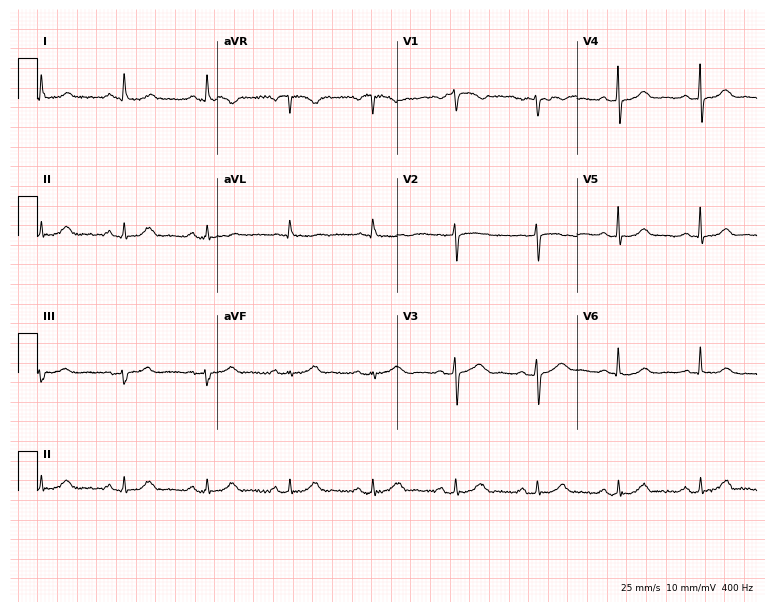
Electrocardiogram, a 72-year-old woman. Of the six screened findings (first-degree AV block, right bundle branch block (RBBB), left bundle branch block (LBBB), sinus bradycardia, atrial fibrillation (AF), sinus tachycardia), none is recorded. Other findings, if any, are not listed.